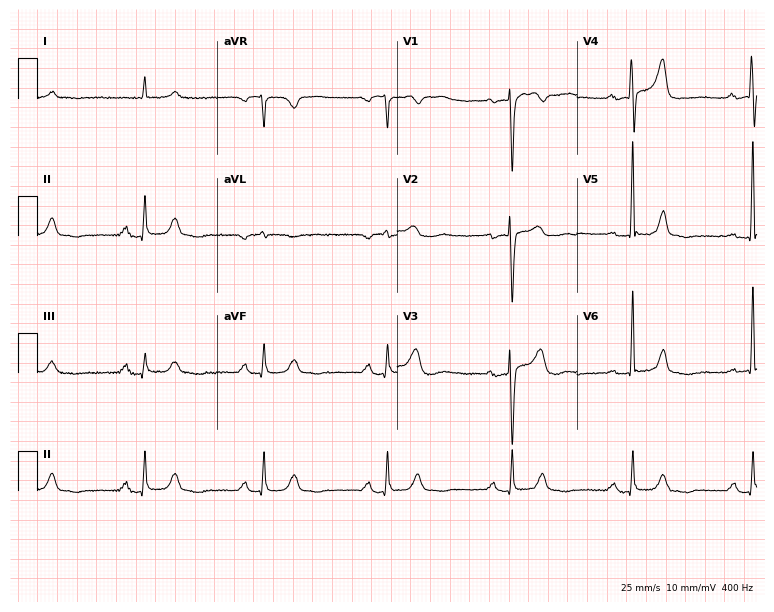
12-lead ECG from a 77-year-old male patient. No first-degree AV block, right bundle branch block (RBBB), left bundle branch block (LBBB), sinus bradycardia, atrial fibrillation (AF) or sinus tachycardia recorded for this tracing.